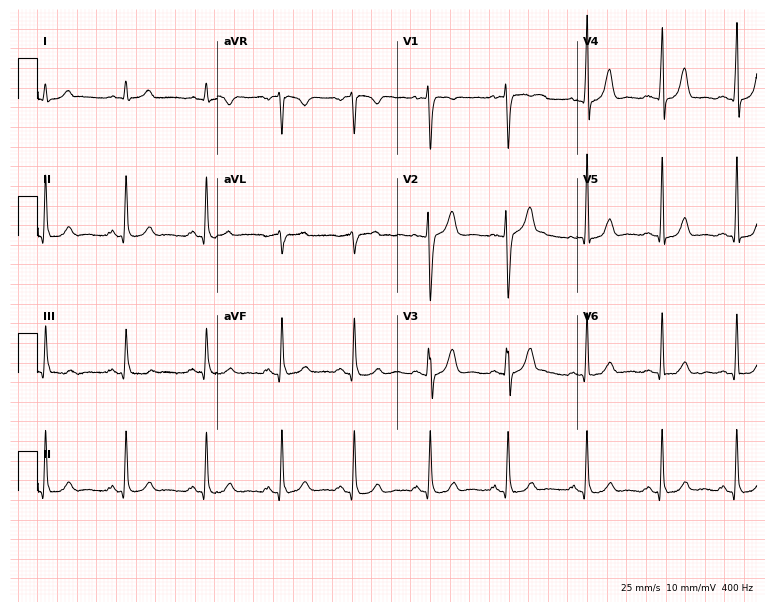
12-lead ECG from a man, 47 years old (7.3-second recording at 400 Hz). Recorded interpretation: within normal limits.